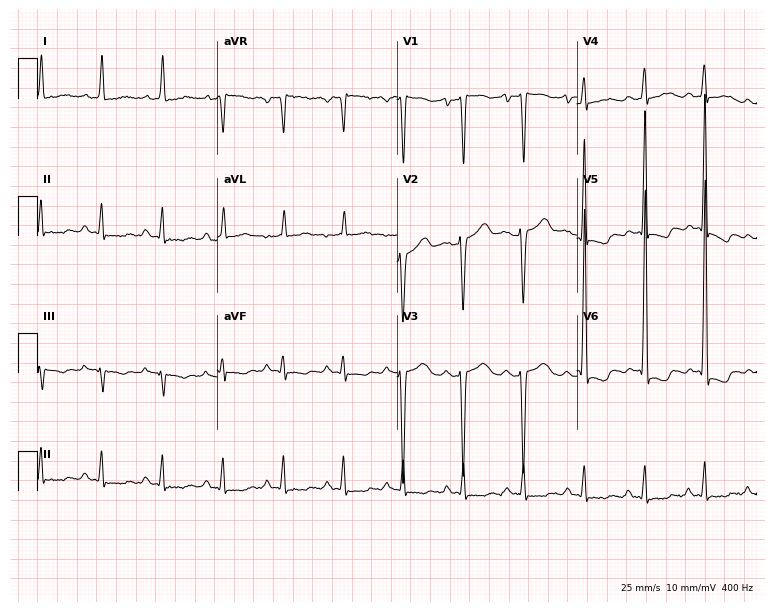
12-lead ECG (7.3-second recording at 400 Hz) from a 58-year-old female. Screened for six findings — first-degree AV block, right bundle branch block, left bundle branch block, sinus bradycardia, atrial fibrillation, sinus tachycardia — none is recorded. Findings outside these six are not listed.